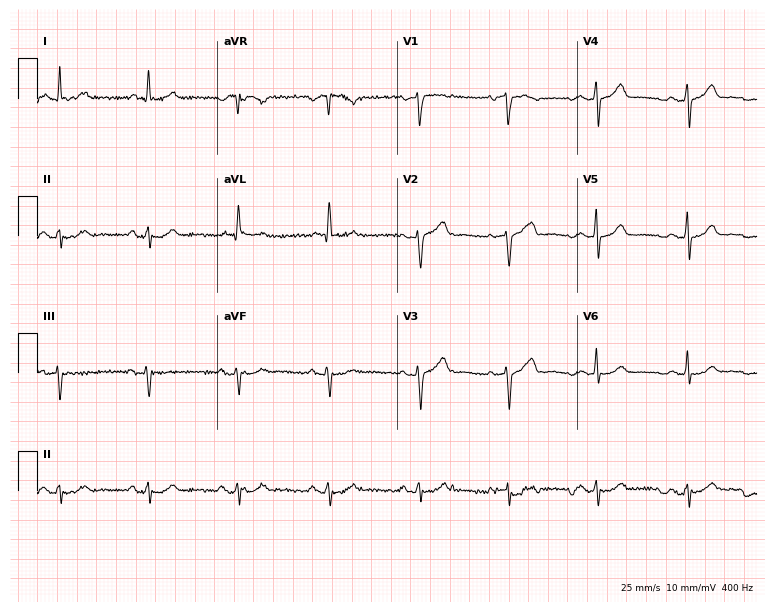
ECG (7.3-second recording at 400 Hz) — an 81-year-old male patient. Screened for six findings — first-degree AV block, right bundle branch block (RBBB), left bundle branch block (LBBB), sinus bradycardia, atrial fibrillation (AF), sinus tachycardia — none is recorded.